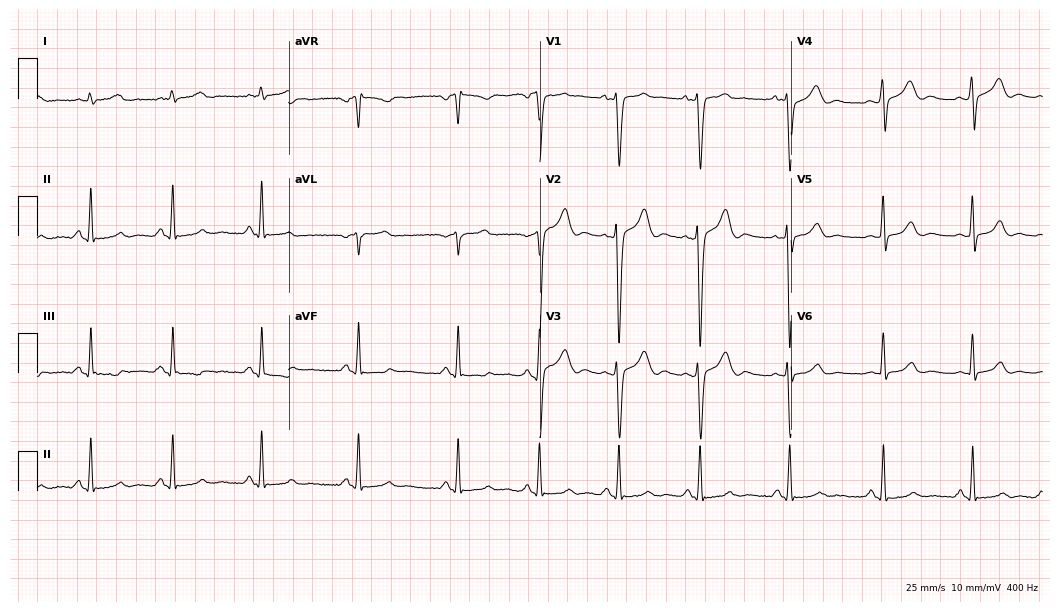
12-lead ECG (10.2-second recording at 400 Hz) from a 33-year-old male patient. Labelled as a normal ECG.